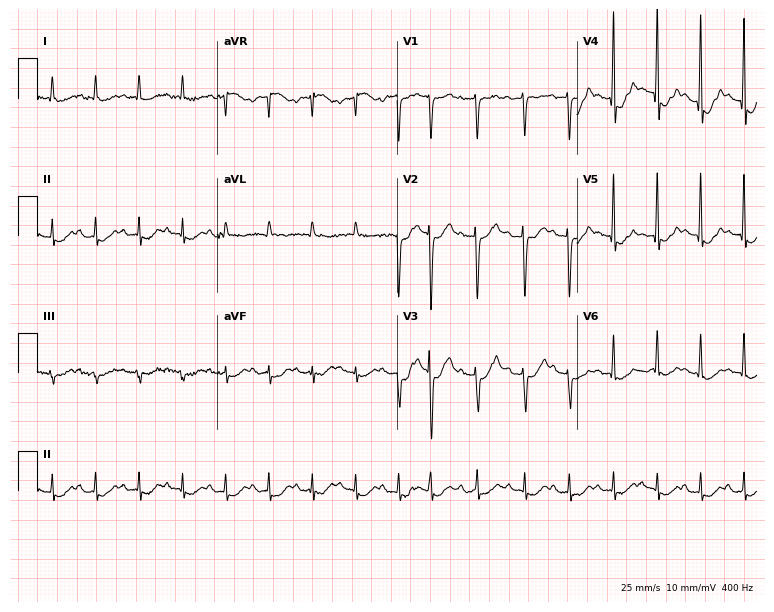
Electrocardiogram, a male patient, 78 years old. Interpretation includes sinus tachycardia (a sinus rate of 100 beats per minute or more).